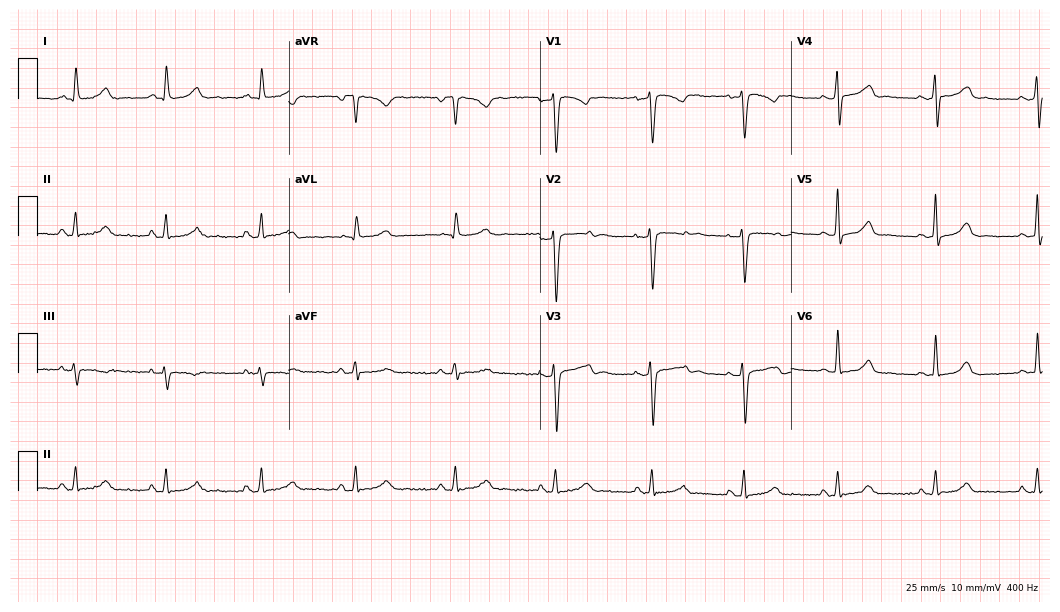
12-lead ECG from a female patient, 42 years old. Labelled as a normal ECG.